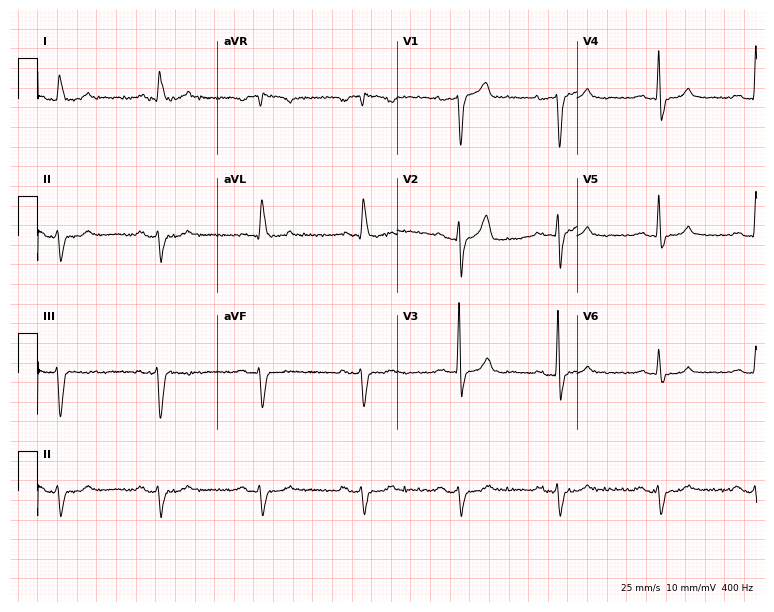
12-lead ECG (7.3-second recording at 400 Hz) from a man, 77 years old. Screened for six findings — first-degree AV block, right bundle branch block, left bundle branch block, sinus bradycardia, atrial fibrillation, sinus tachycardia — none is recorded. Only these six findings were labelled.